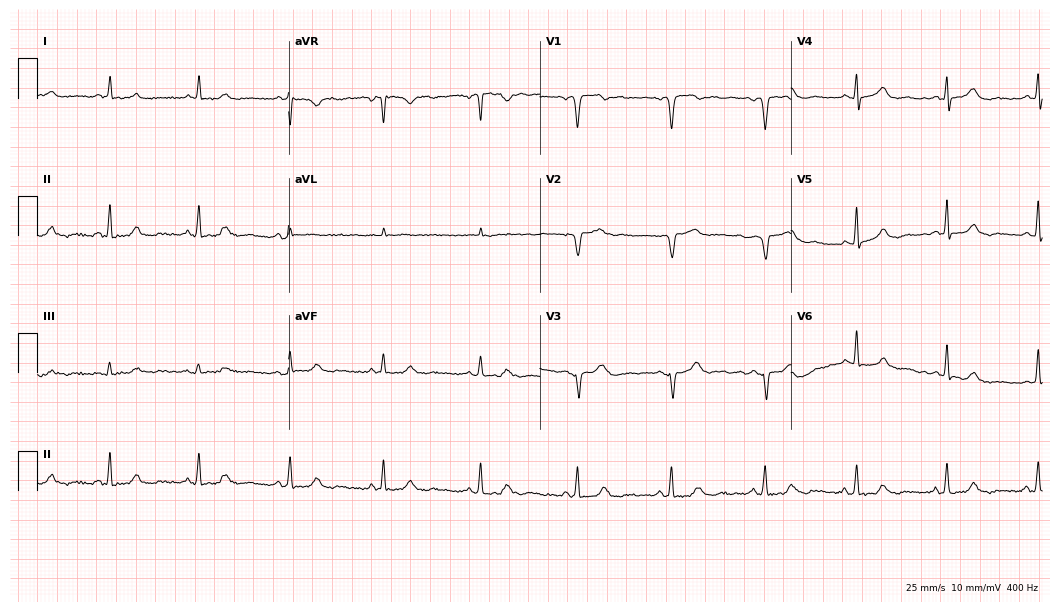
Electrocardiogram (10.2-second recording at 400 Hz), a 68-year-old male patient. Of the six screened findings (first-degree AV block, right bundle branch block, left bundle branch block, sinus bradycardia, atrial fibrillation, sinus tachycardia), none is recorded. Other findings, if any, are not listed.